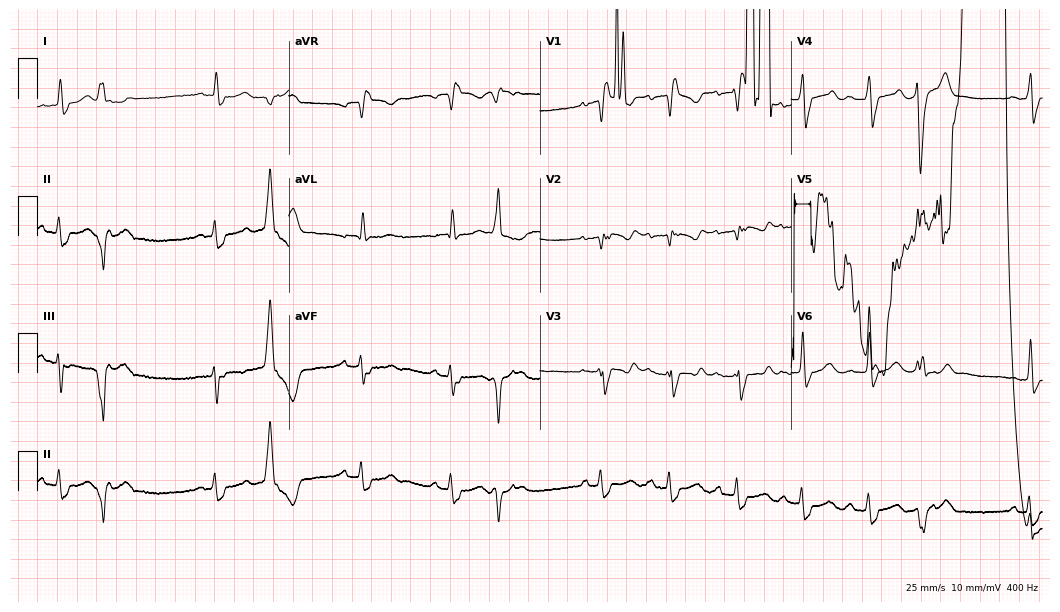
Electrocardiogram (10.2-second recording at 400 Hz), a female patient, 71 years old. Of the six screened findings (first-degree AV block, right bundle branch block (RBBB), left bundle branch block (LBBB), sinus bradycardia, atrial fibrillation (AF), sinus tachycardia), none is recorded. Other findings, if any, are not listed.